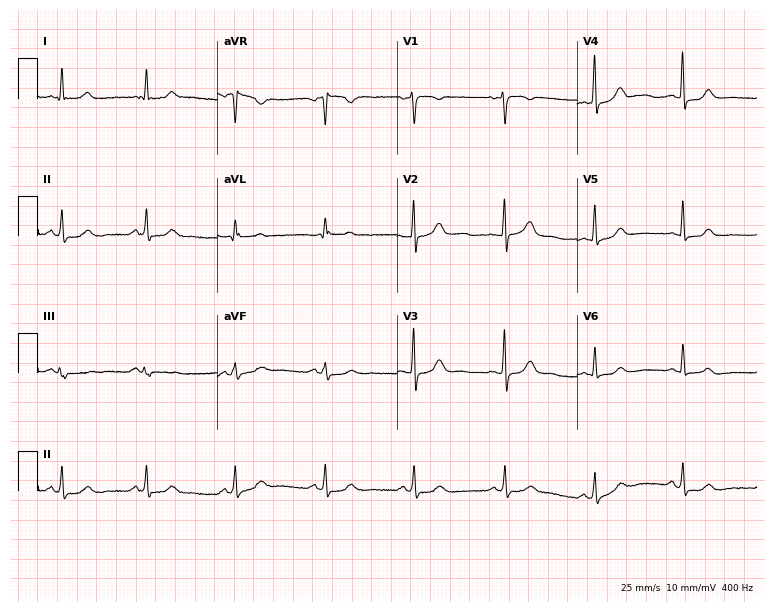
ECG (7.3-second recording at 400 Hz) — a female patient, 44 years old. Screened for six findings — first-degree AV block, right bundle branch block (RBBB), left bundle branch block (LBBB), sinus bradycardia, atrial fibrillation (AF), sinus tachycardia — none is recorded. Findings outside these six are not listed.